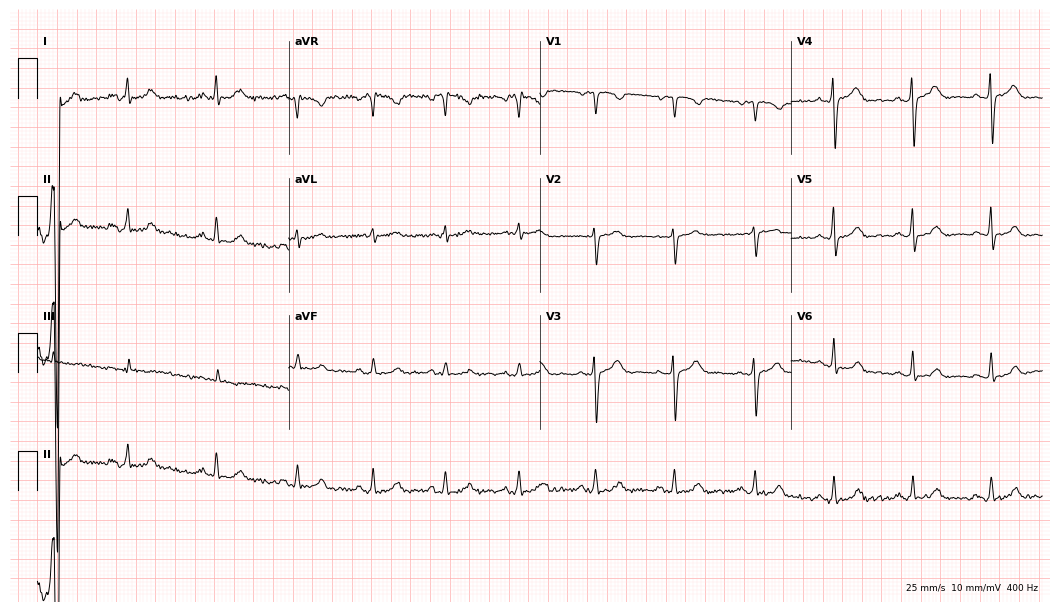
12-lead ECG (10.2-second recording at 400 Hz) from a 38-year-old female. Screened for six findings — first-degree AV block, right bundle branch block, left bundle branch block, sinus bradycardia, atrial fibrillation, sinus tachycardia — none is recorded.